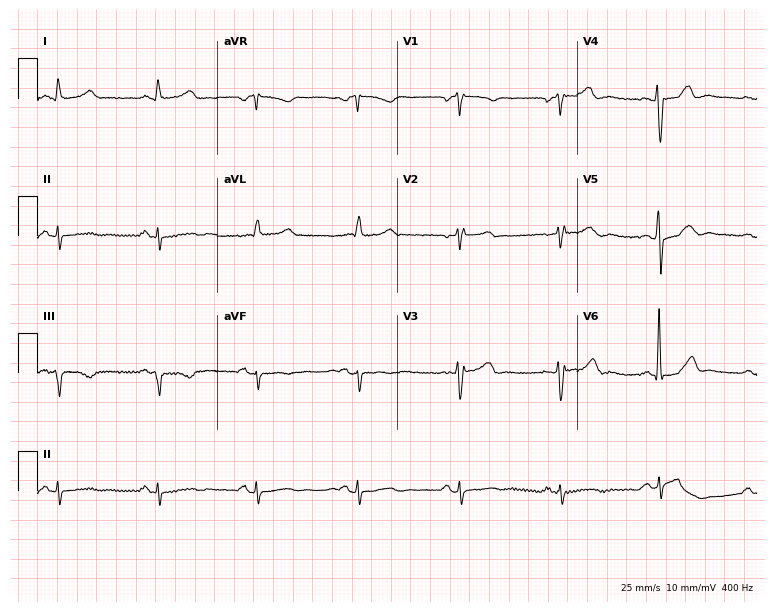
Resting 12-lead electrocardiogram (7.3-second recording at 400 Hz). Patient: a 68-year-old male. None of these six findings is recorded: first-degree AV block, right bundle branch block, left bundle branch block, sinus bradycardia, atrial fibrillation, sinus tachycardia. Findings outside these six are not listed.